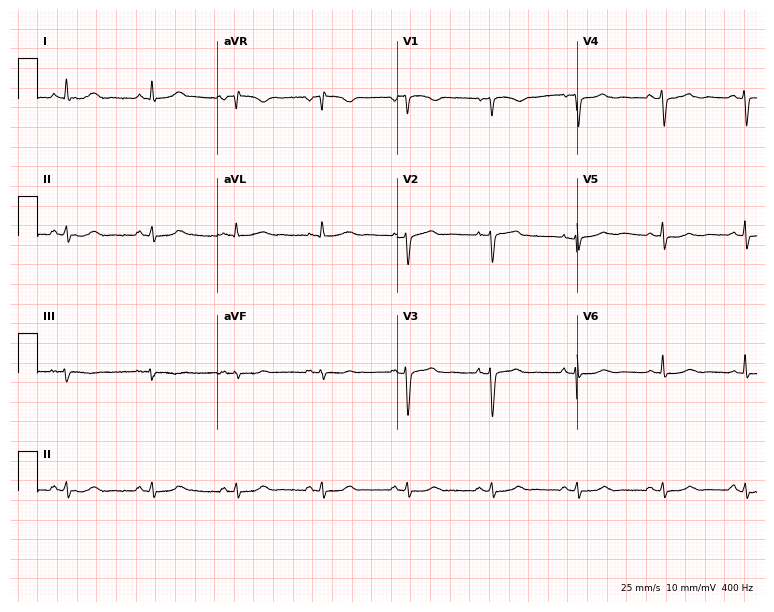
Resting 12-lead electrocardiogram (7.3-second recording at 400 Hz). Patient: a female, 65 years old. None of these six findings is recorded: first-degree AV block, right bundle branch block, left bundle branch block, sinus bradycardia, atrial fibrillation, sinus tachycardia. Other findings, if any, are not listed.